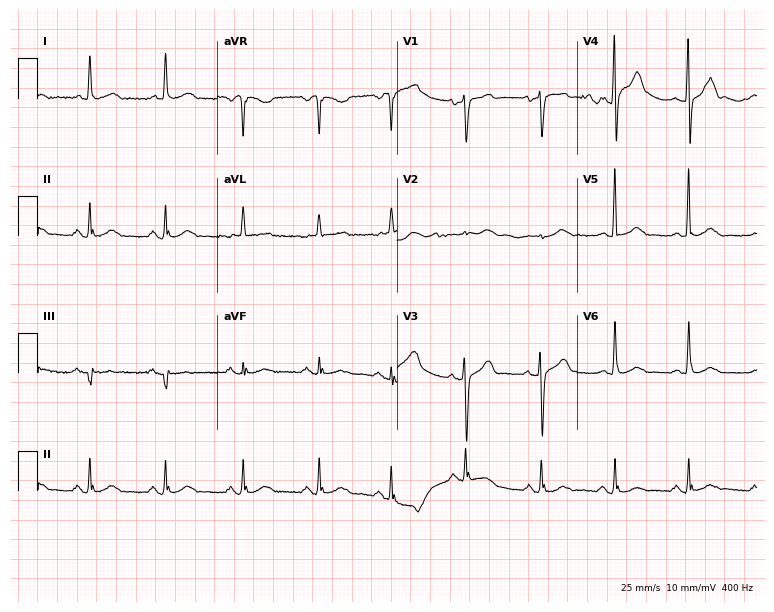
12-lead ECG (7.3-second recording at 400 Hz) from a 75-year-old man. Labelled as a normal ECG.